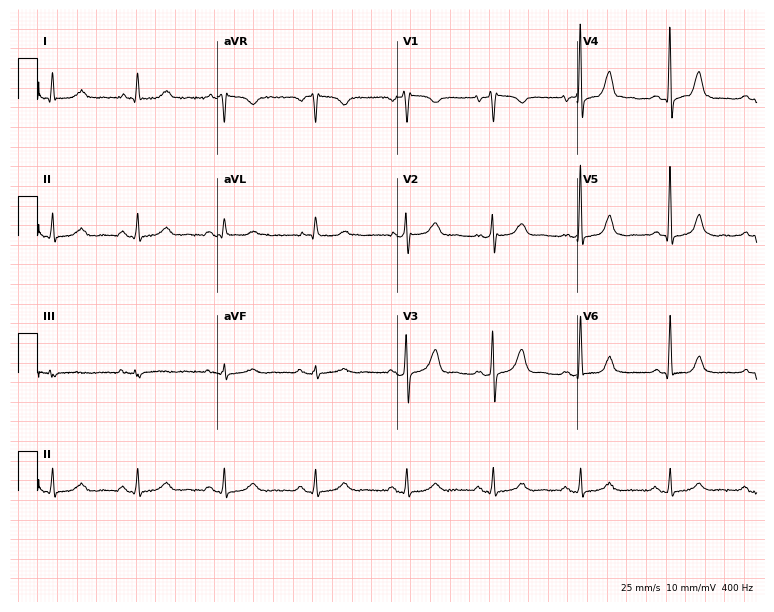
12-lead ECG from a 47-year-old woman. No first-degree AV block, right bundle branch block, left bundle branch block, sinus bradycardia, atrial fibrillation or sinus tachycardia recorded for this tracing. Findings outside these six are not listed.